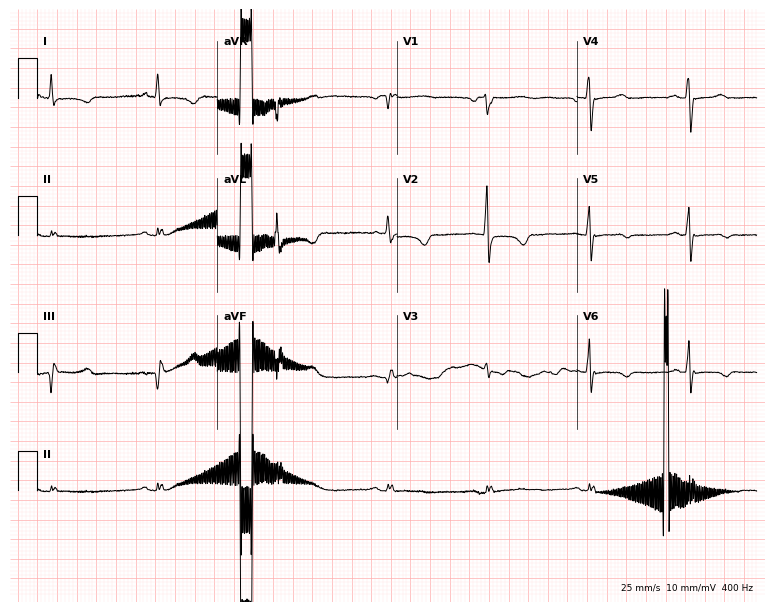
Standard 12-lead ECG recorded from a woman, 65 years old. None of these six findings is recorded: first-degree AV block, right bundle branch block, left bundle branch block, sinus bradycardia, atrial fibrillation, sinus tachycardia.